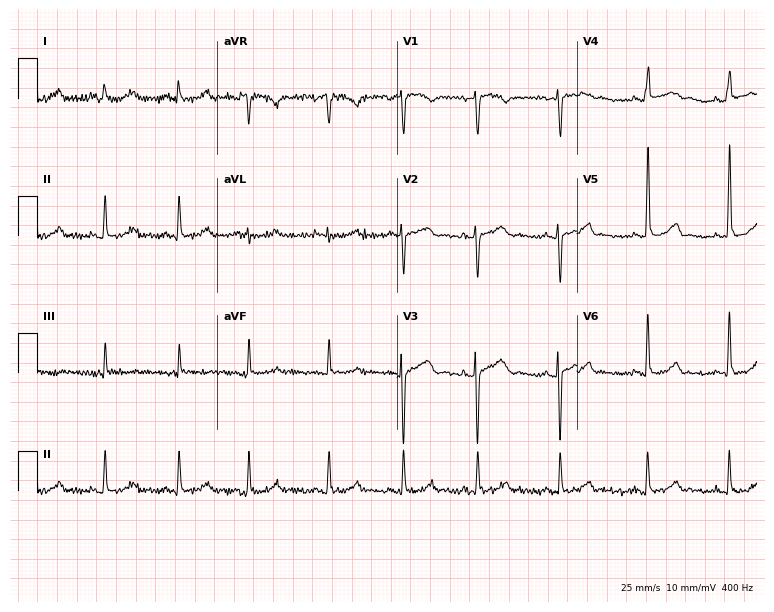
Resting 12-lead electrocardiogram (7.3-second recording at 400 Hz). Patient: a 22-year-old female. None of these six findings is recorded: first-degree AV block, right bundle branch block (RBBB), left bundle branch block (LBBB), sinus bradycardia, atrial fibrillation (AF), sinus tachycardia.